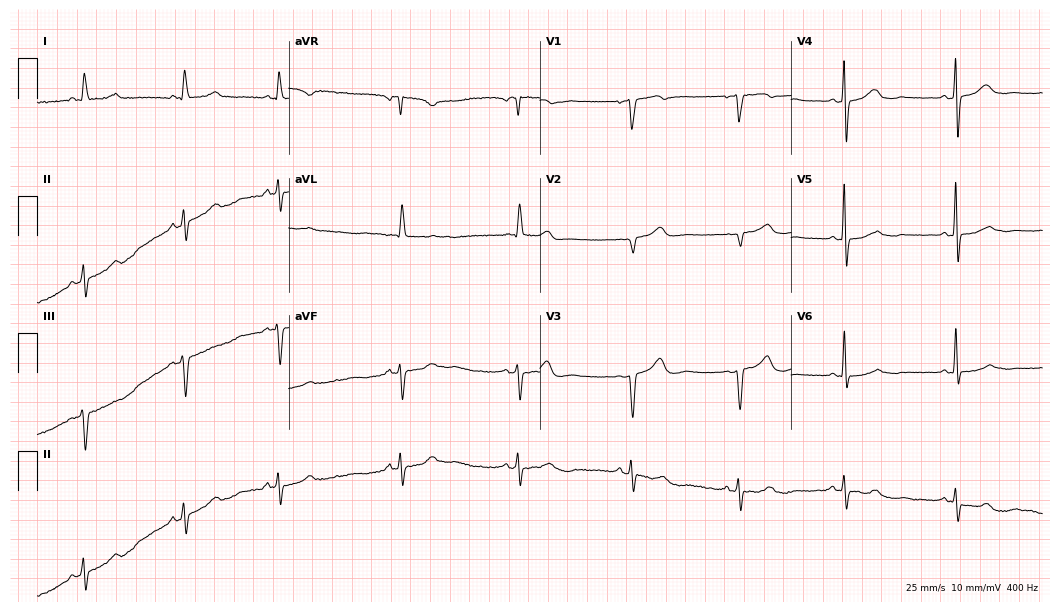
Resting 12-lead electrocardiogram. Patient: a 79-year-old female. None of these six findings is recorded: first-degree AV block, right bundle branch block, left bundle branch block, sinus bradycardia, atrial fibrillation, sinus tachycardia.